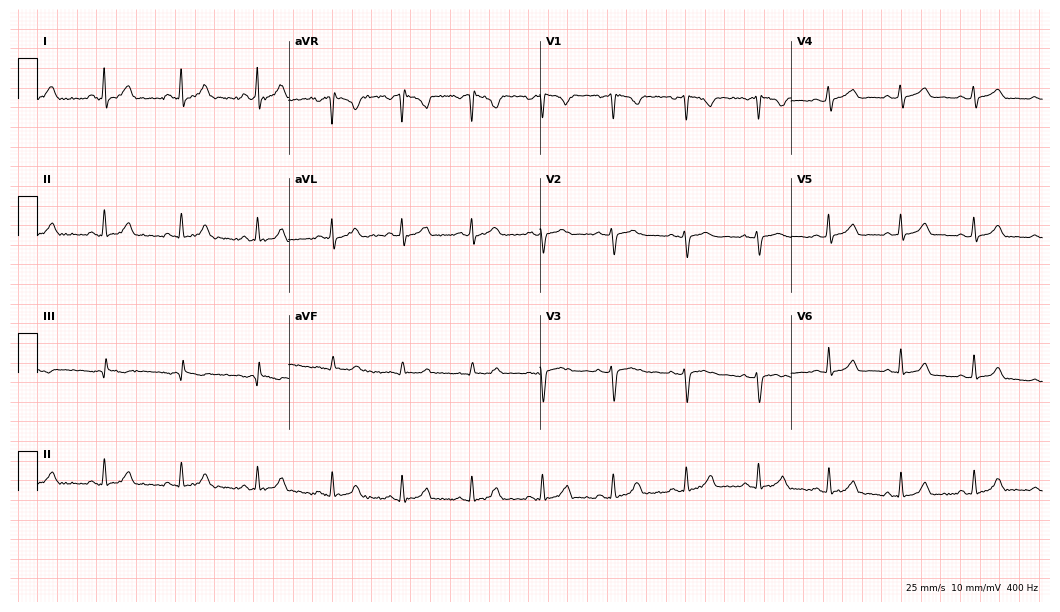
Electrocardiogram, a 29-year-old female patient. Overall reading on record: normal ECG.